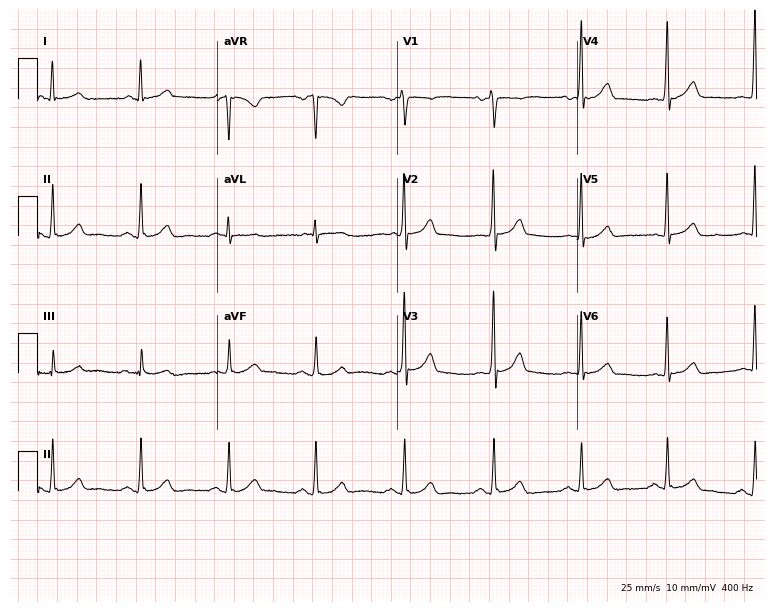
Electrocardiogram (7.3-second recording at 400 Hz), a 49-year-old male patient. Of the six screened findings (first-degree AV block, right bundle branch block, left bundle branch block, sinus bradycardia, atrial fibrillation, sinus tachycardia), none is recorded. Only these six findings were labelled.